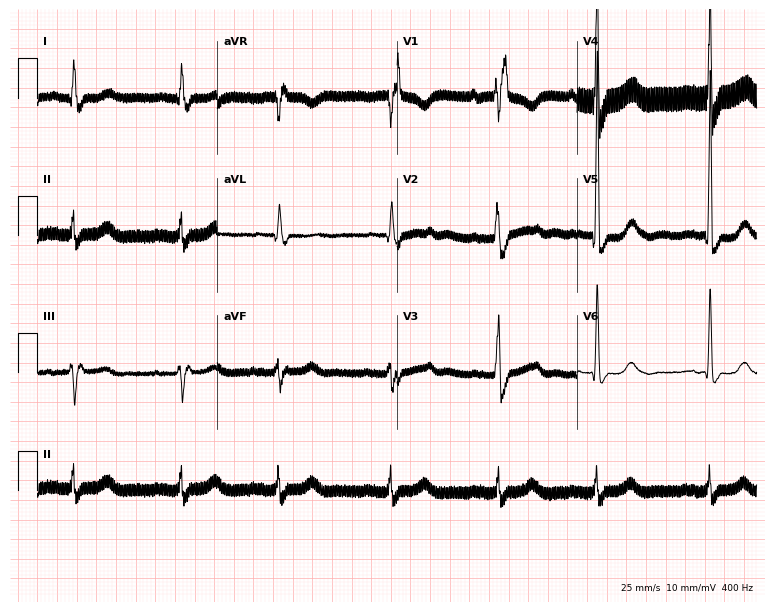
12-lead ECG (7.3-second recording at 400 Hz) from a man, 72 years old. Screened for six findings — first-degree AV block, right bundle branch block, left bundle branch block, sinus bradycardia, atrial fibrillation, sinus tachycardia — none is recorded.